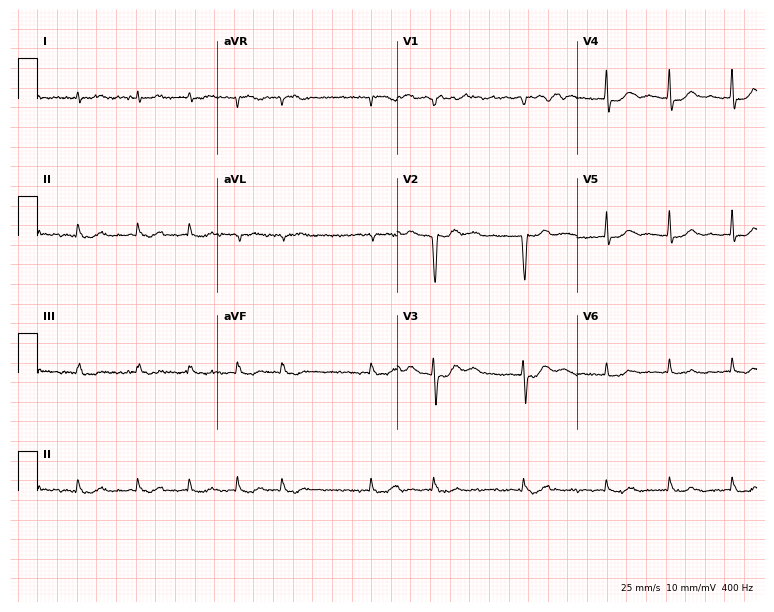
Standard 12-lead ECG recorded from a man, 77 years old. The tracing shows atrial fibrillation.